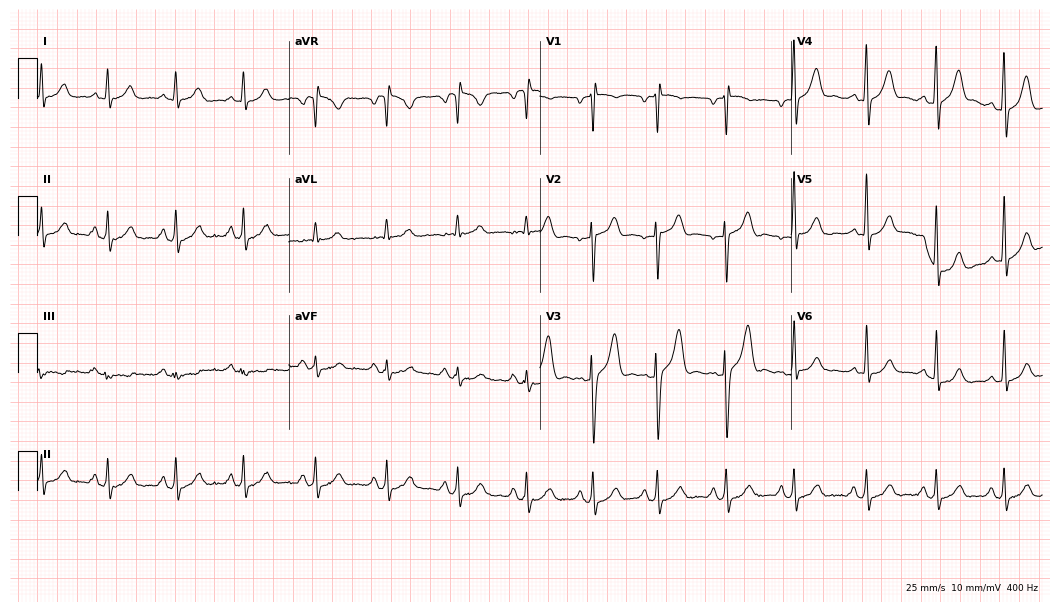
ECG — a male patient, 38 years old. Labelled as a normal ECG.